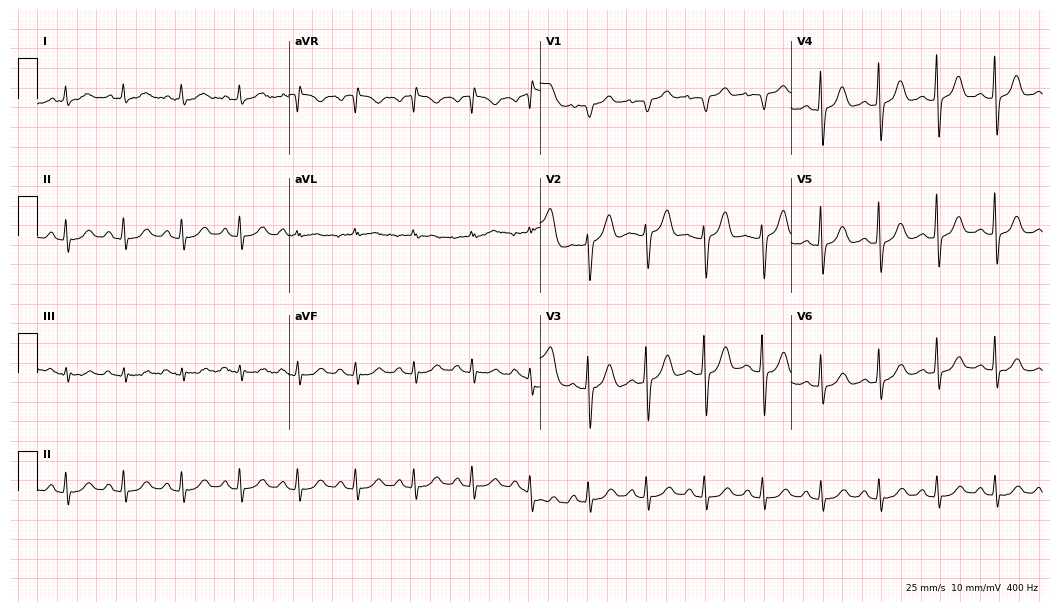
Standard 12-lead ECG recorded from a 75-year-old female. The tracing shows sinus tachycardia (a sinus rate of 100 beats per minute or more).